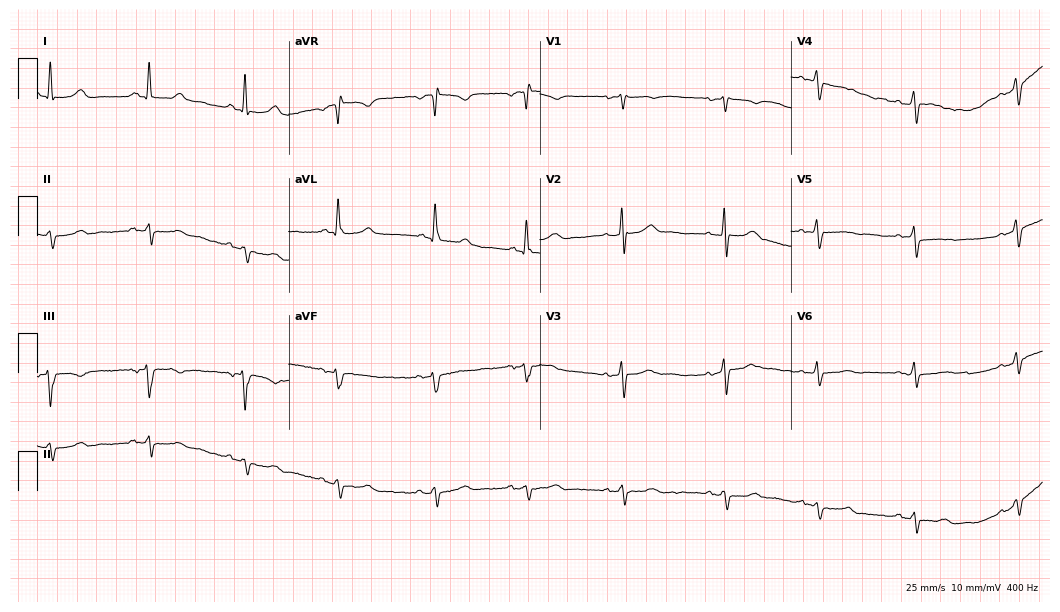
Resting 12-lead electrocardiogram. Patient: a woman, 47 years old. None of these six findings is recorded: first-degree AV block, right bundle branch block, left bundle branch block, sinus bradycardia, atrial fibrillation, sinus tachycardia. Only these six findings were labelled.